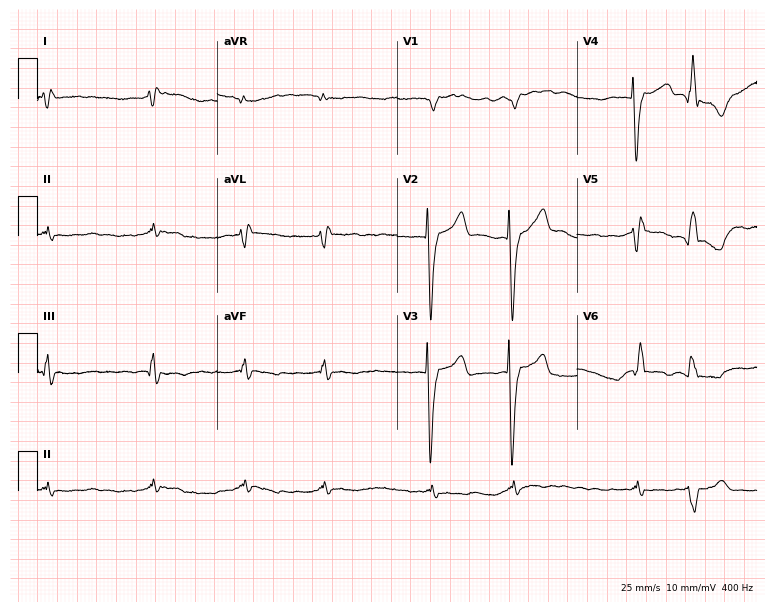
Electrocardiogram, a male, 85 years old. Interpretation includes left bundle branch block (LBBB), atrial fibrillation (AF).